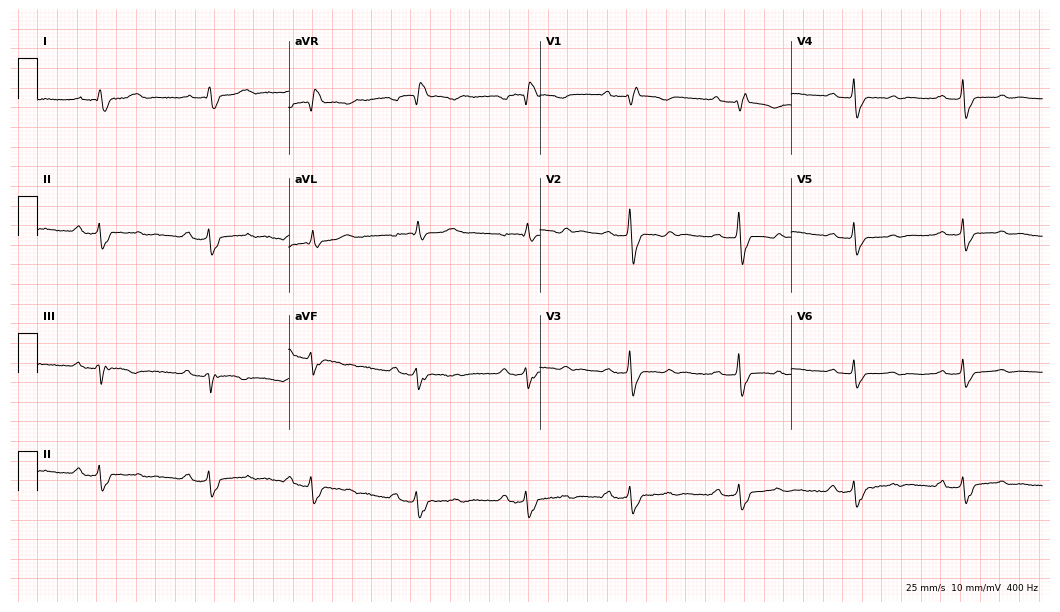
ECG (10.2-second recording at 400 Hz) — a 48-year-old female patient. Findings include right bundle branch block (RBBB).